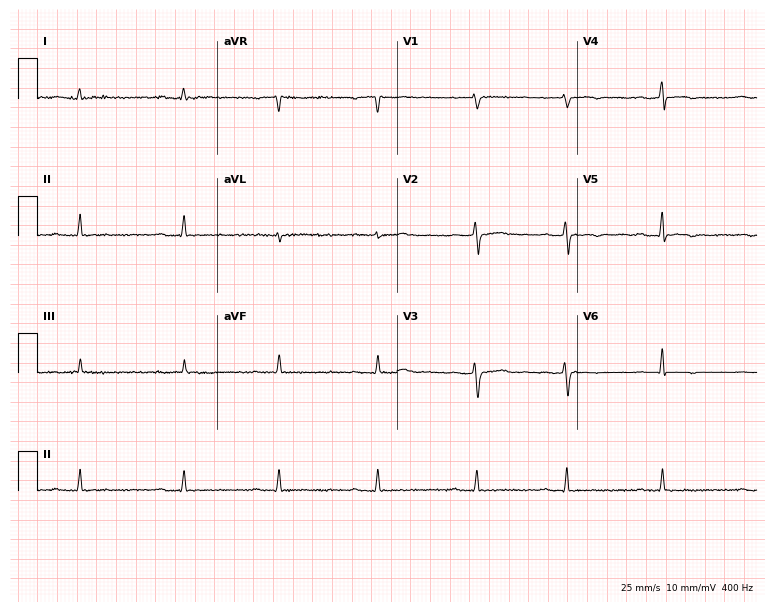
Standard 12-lead ECG recorded from a 27-year-old woman (7.3-second recording at 400 Hz). None of these six findings is recorded: first-degree AV block, right bundle branch block, left bundle branch block, sinus bradycardia, atrial fibrillation, sinus tachycardia.